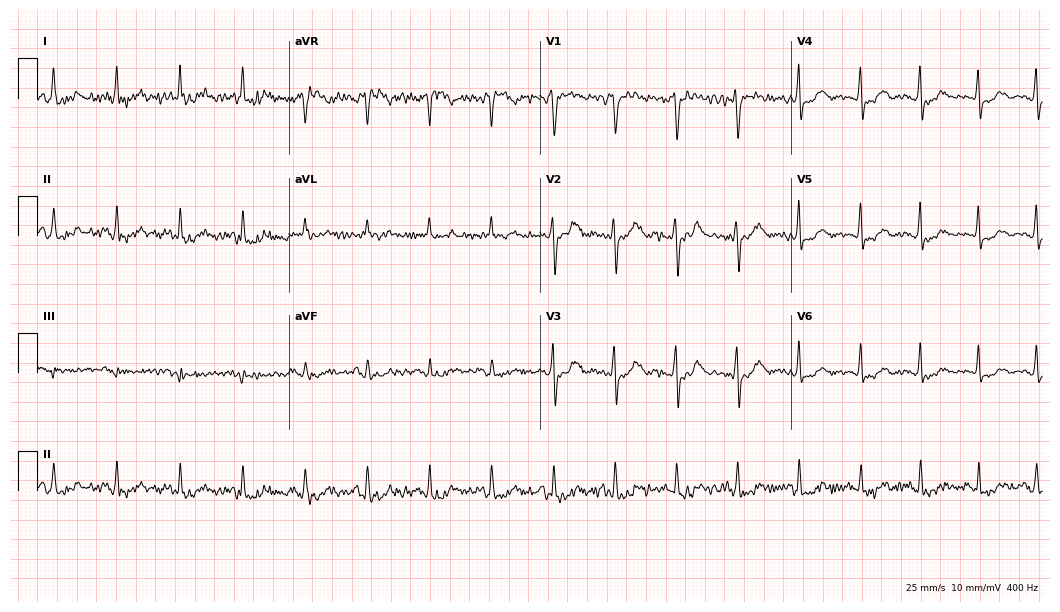
12-lead ECG (10.2-second recording at 400 Hz) from a female patient, 58 years old. Labelled as a normal ECG.